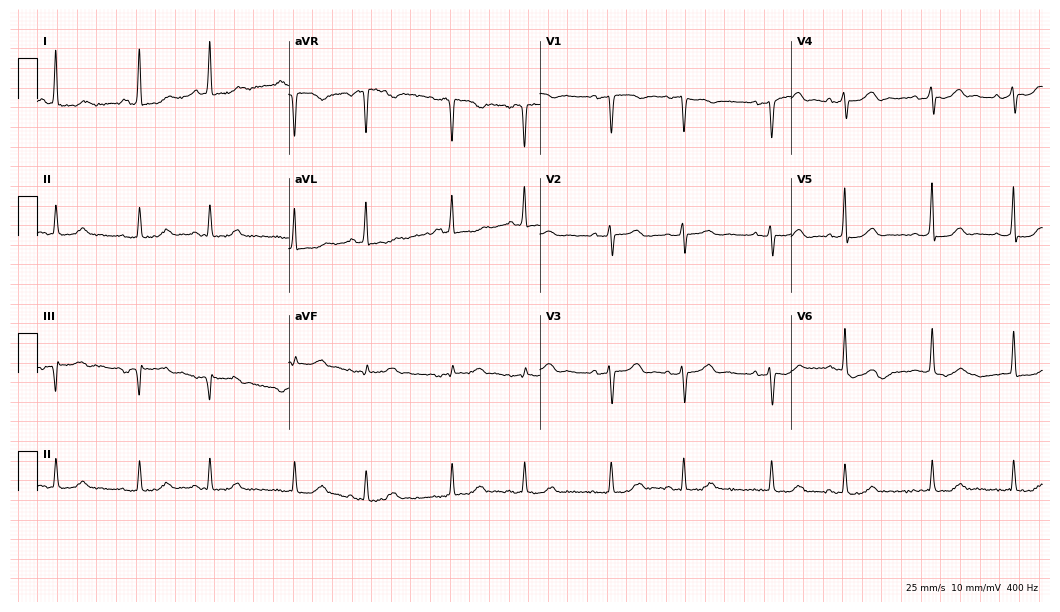
Resting 12-lead electrocardiogram. Patient: a female, 64 years old. Read as a normal ECG.